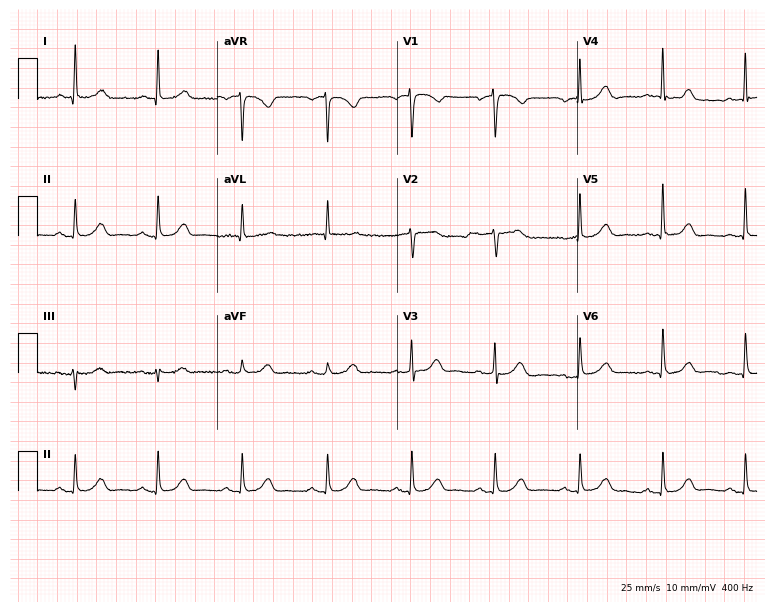
Resting 12-lead electrocardiogram (7.3-second recording at 400 Hz). Patient: a 78-year-old female. Read as a normal ECG.